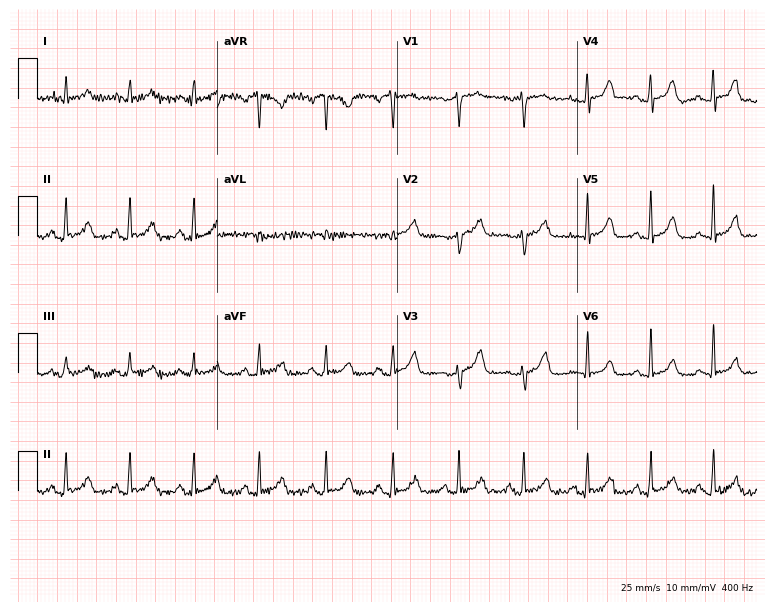
ECG — a woman, 61 years old. Labelled as a normal ECG.